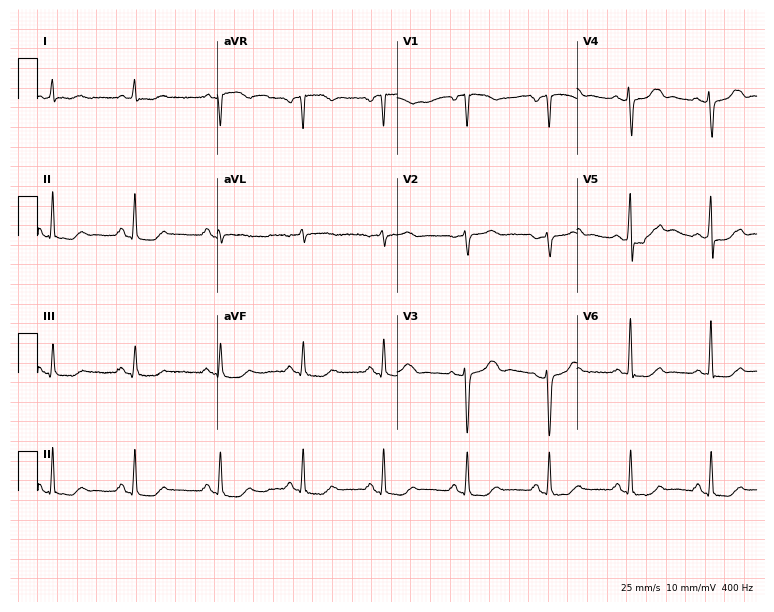
Electrocardiogram, a 64-year-old female patient. Of the six screened findings (first-degree AV block, right bundle branch block (RBBB), left bundle branch block (LBBB), sinus bradycardia, atrial fibrillation (AF), sinus tachycardia), none is recorded.